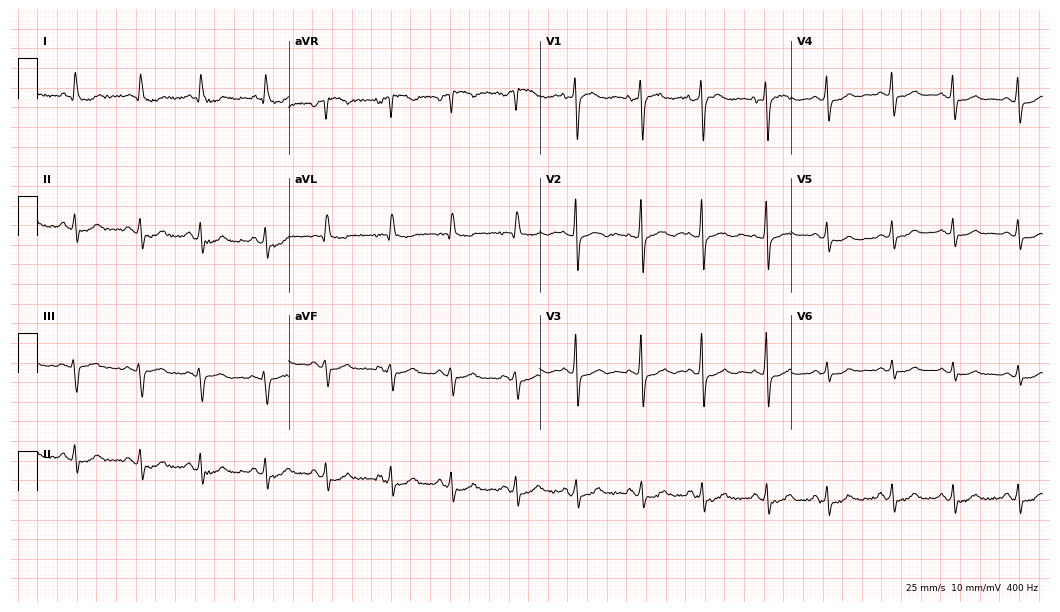
12-lead ECG from a 73-year-old female. No first-degree AV block, right bundle branch block, left bundle branch block, sinus bradycardia, atrial fibrillation or sinus tachycardia recorded for this tracing. Other findings, if any, are not listed.